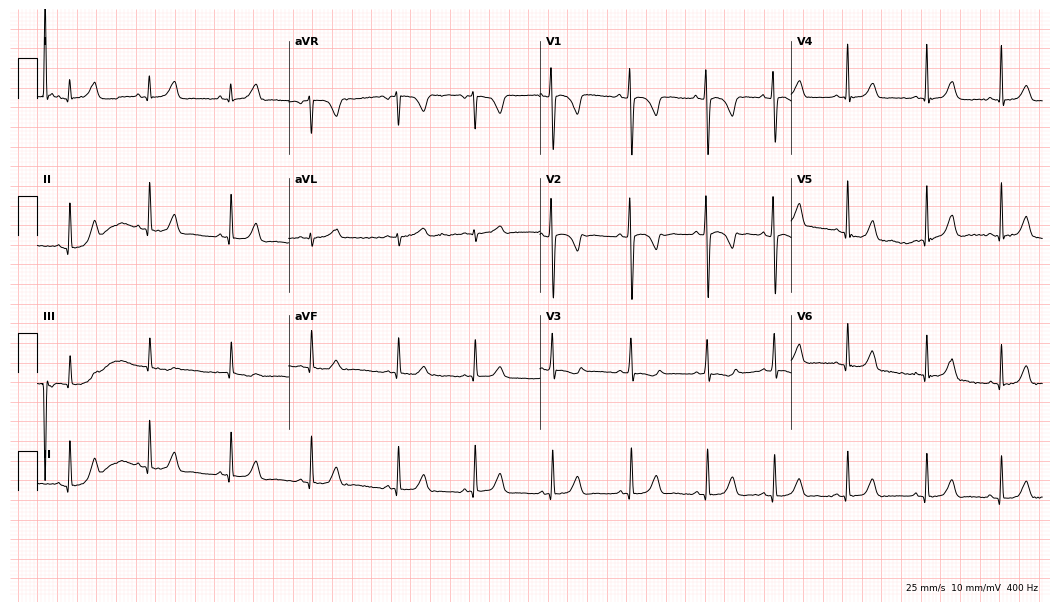
12-lead ECG from a male patient, 23 years old. Labelled as a normal ECG.